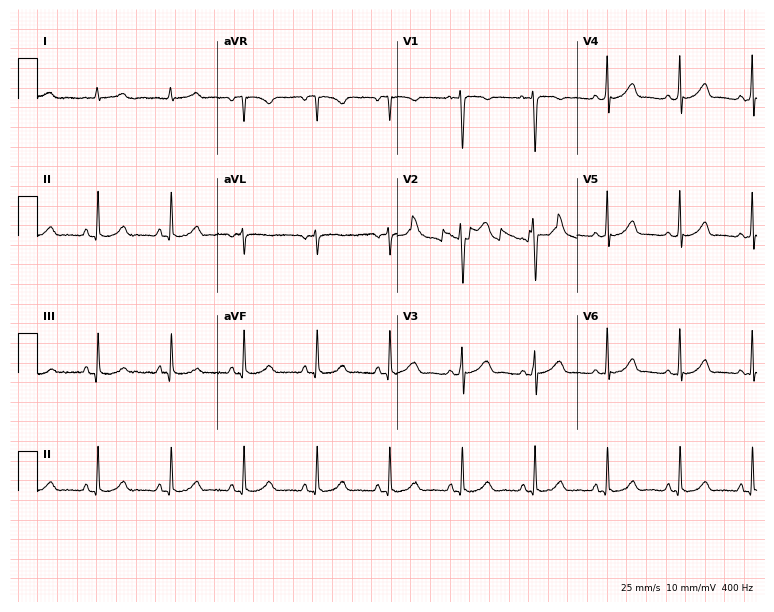
ECG (7.3-second recording at 400 Hz) — a female patient, 17 years old. Screened for six findings — first-degree AV block, right bundle branch block (RBBB), left bundle branch block (LBBB), sinus bradycardia, atrial fibrillation (AF), sinus tachycardia — none is recorded.